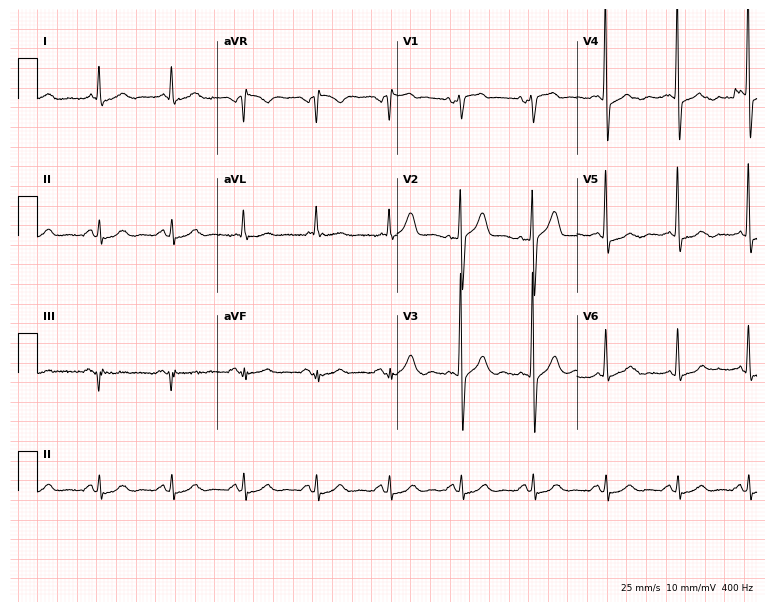
ECG — a man, 71 years old. Screened for six findings — first-degree AV block, right bundle branch block (RBBB), left bundle branch block (LBBB), sinus bradycardia, atrial fibrillation (AF), sinus tachycardia — none is recorded. Other findings, if any, are not listed.